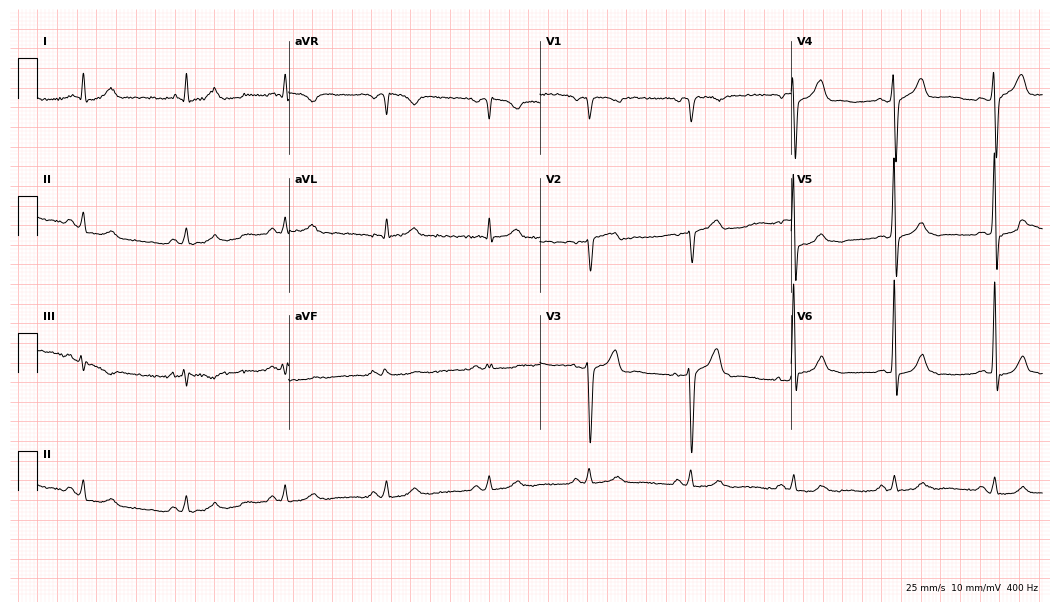
Standard 12-lead ECG recorded from a 54-year-old male patient. Read as a normal ECG.